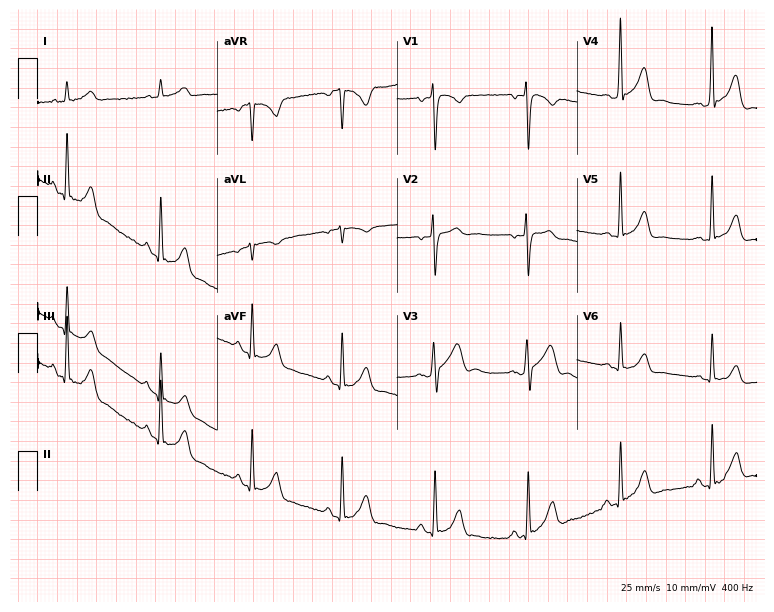
12-lead ECG (7.3-second recording at 400 Hz) from a 30-year-old man. Screened for six findings — first-degree AV block, right bundle branch block (RBBB), left bundle branch block (LBBB), sinus bradycardia, atrial fibrillation (AF), sinus tachycardia — none is recorded.